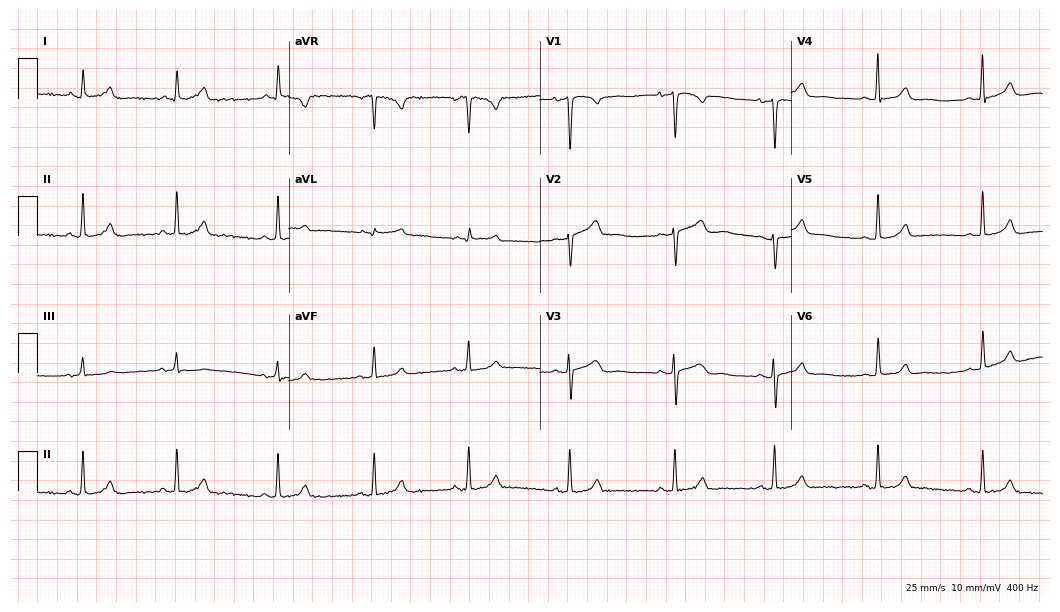
12-lead ECG from a woman, 39 years old (10.2-second recording at 400 Hz). Recorded interpretation: within normal limits.